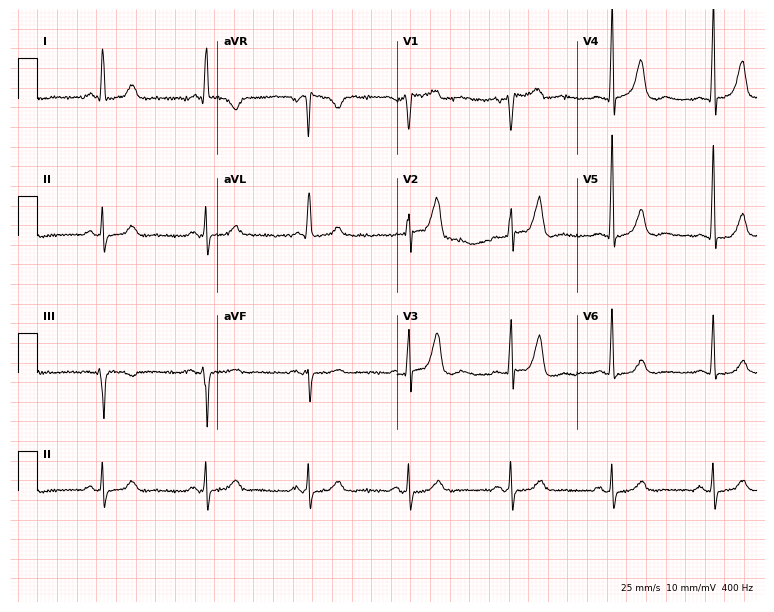
Electrocardiogram, a man, 77 years old. Overall reading on record: normal ECG.